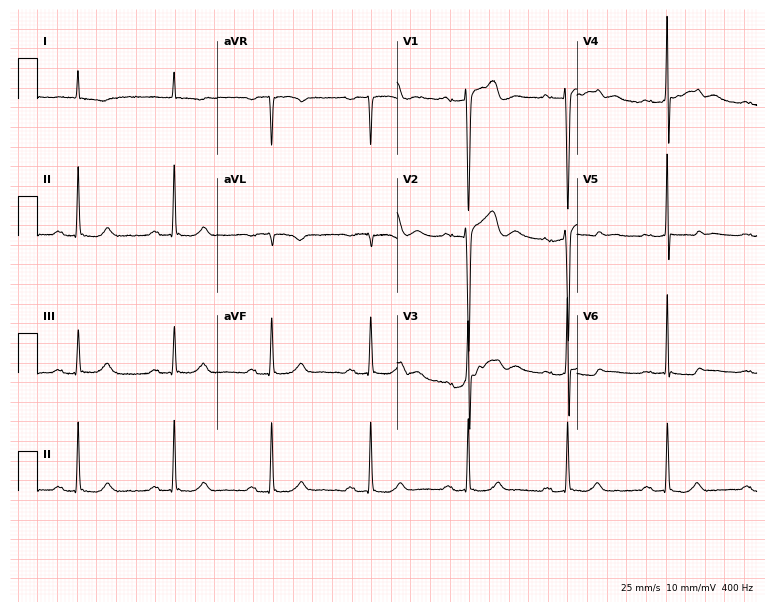
Electrocardiogram, a 75-year-old man. Of the six screened findings (first-degree AV block, right bundle branch block, left bundle branch block, sinus bradycardia, atrial fibrillation, sinus tachycardia), none is recorded.